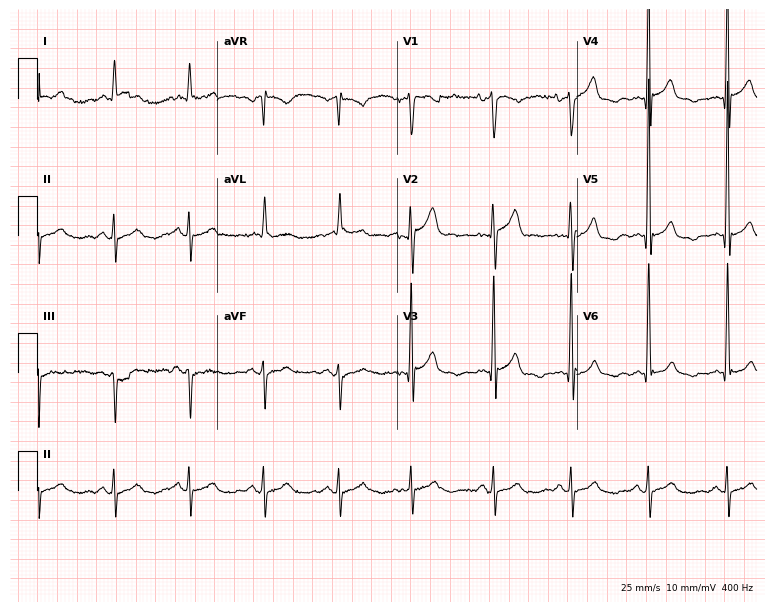
ECG — an 85-year-old man. Labelled as a normal ECG.